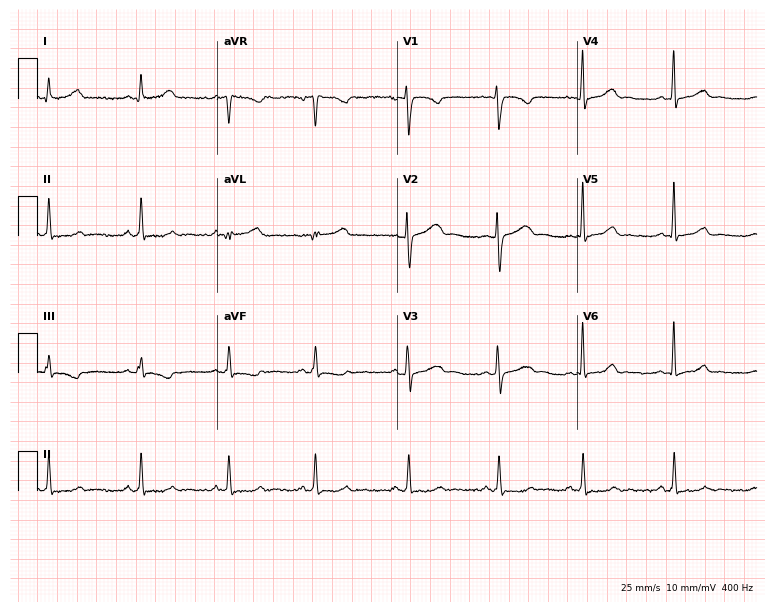
Standard 12-lead ECG recorded from a woman, 31 years old. Read as a normal ECG.